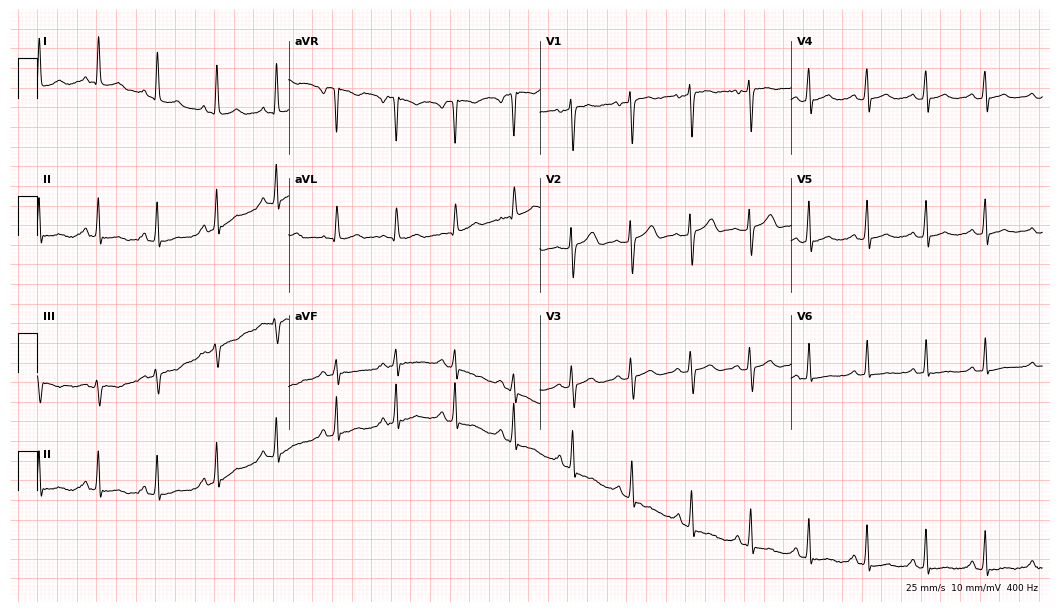
12-lead ECG (10.2-second recording at 400 Hz) from a female patient, 27 years old. Screened for six findings — first-degree AV block, right bundle branch block, left bundle branch block, sinus bradycardia, atrial fibrillation, sinus tachycardia — none is recorded. Only these six findings were labelled.